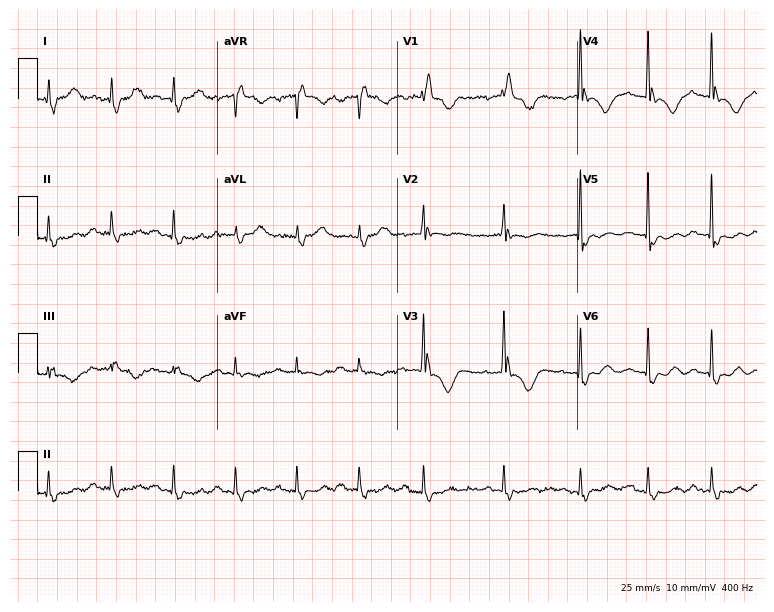
12-lead ECG from a woman, 85 years old. Findings include first-degree AV block, right bundle branch block.